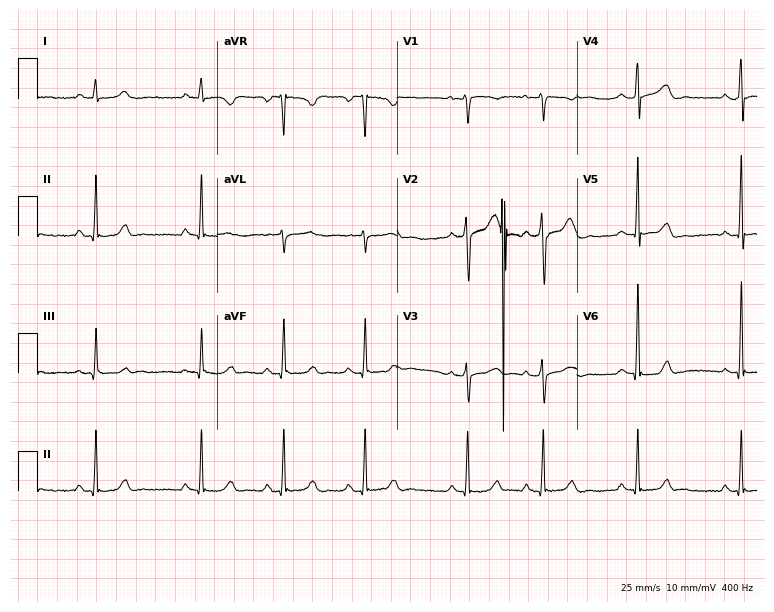
12-lead ECG from a 24-year-old female patient. Labelled as a normal ECG.